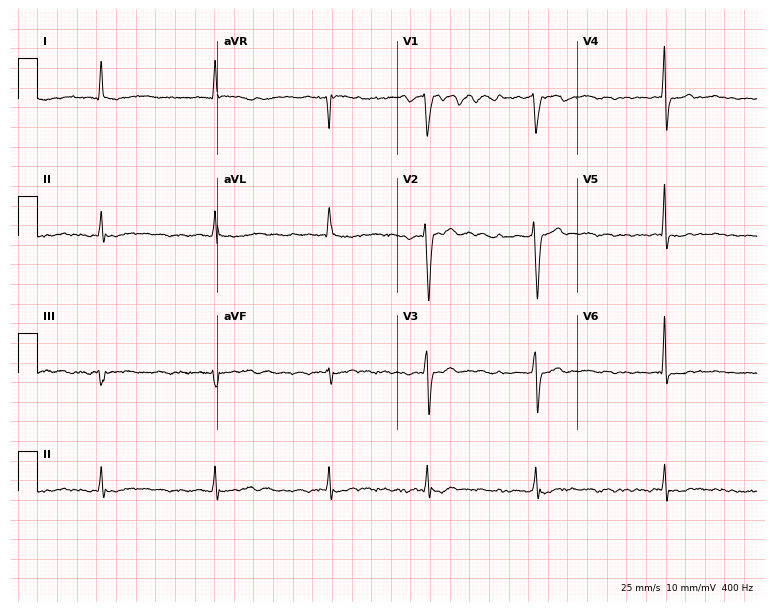
Electrocardiogram (7.3-second recording at 400 Hz), a 74-year-old female. Interpretation includes atrial fibrillation (AF).